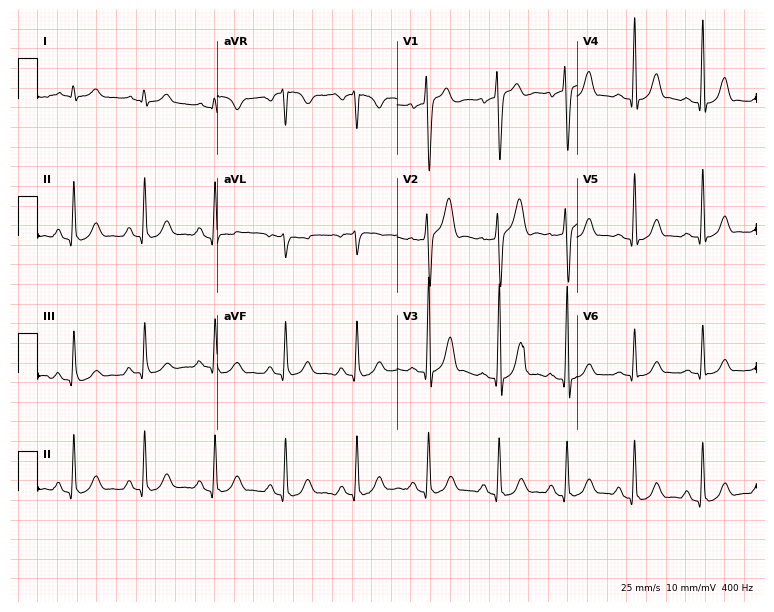
ECG — a 26-year-old woman. Screened for six findings — first-degree AV block, right bundle branch block, left bundle branch block, sinus bradycardia, atrial fibrillation, sinus tachycardia — none is recorded.